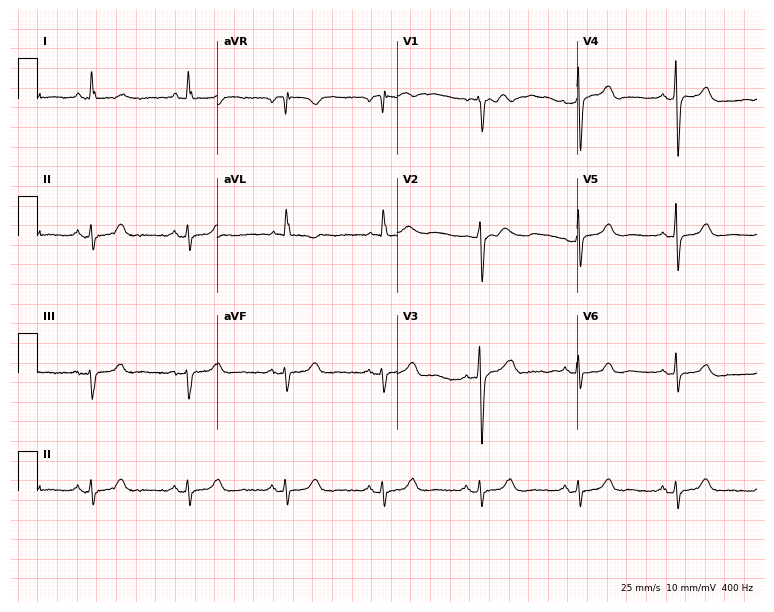
Resting 12-lead electrocardiogram (7.3-second recording at 400 Hz). Patient: a 63-year-old female. None of these six findings is recorded: first-degree AV block, right bundle branch block (RBBB), left bundle branch block (LBBB), sinus bradycardia, atrial fibrillation (AF), sinus tachycardia.